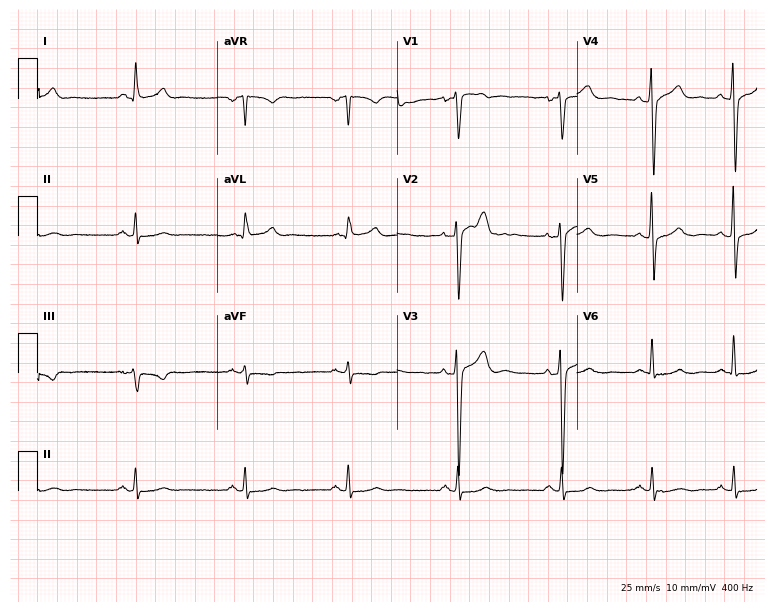
12-lead ECG from a 45-year-old man. No first-degree AV block, right bundle branch block, left bundle branch block, sinus bradycardia, atrial fibrillation or sinus tachycardia recorded for this tracing. Only these six findings were labelled.